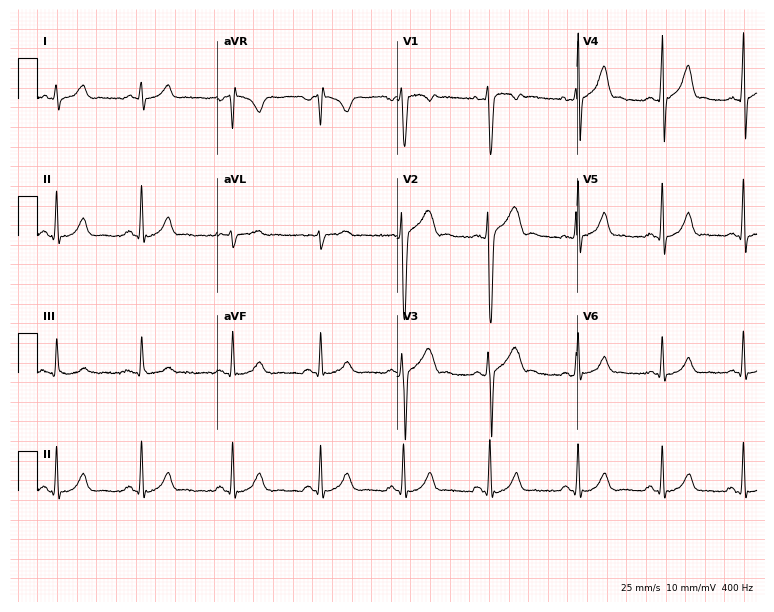
Resting 12-lead electrocardiogram. Patient: a male, 22 years old. Read as a normal ECG.